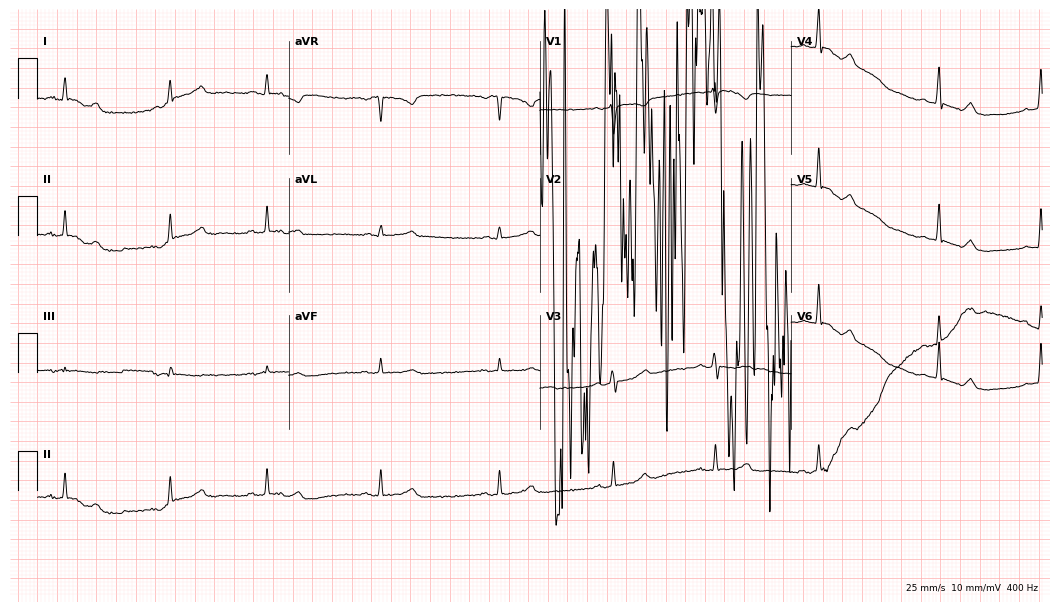
12-lead ECG from a female patient, 40 years old. No first-degree AV block, right bundle branch block, left bundle branch block, sinus bradycardia, atrial fibrillation or sinus tachycardia recorded for this tracing.